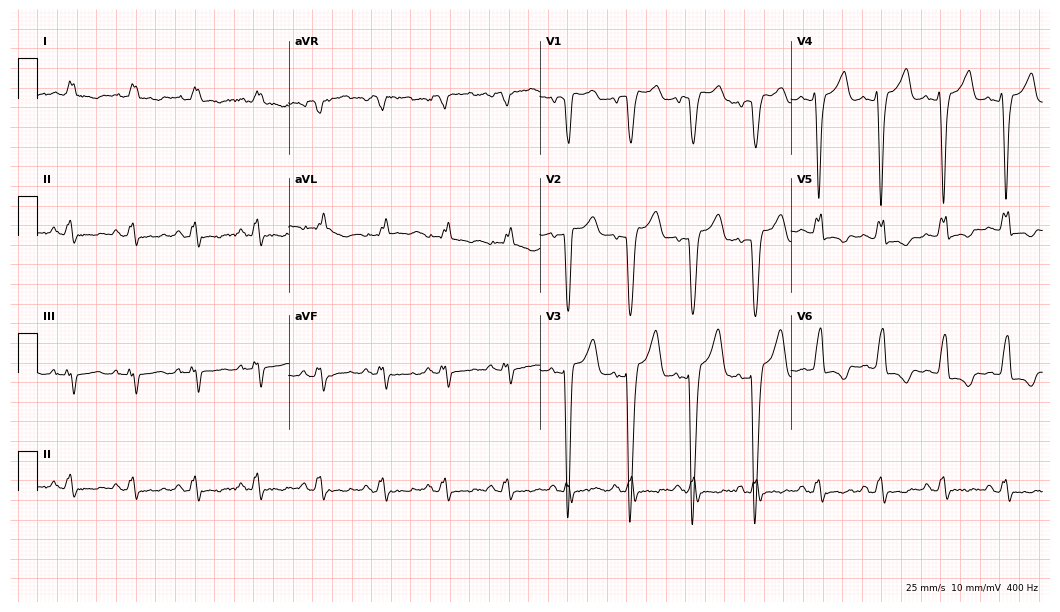
Standard 12-lead ECG recorded from a female, 67 years old. The tracing shows left bundle branch block.